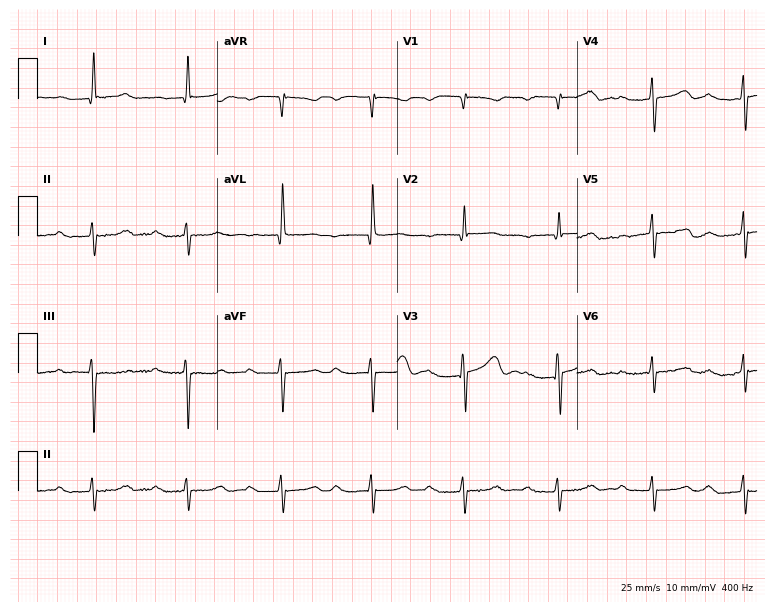
Resting 12-lead electrocardiogram (7.3-second recording at 400 Hz). Patient: a male, 73 years old. The tracing shows first-degree AV block.